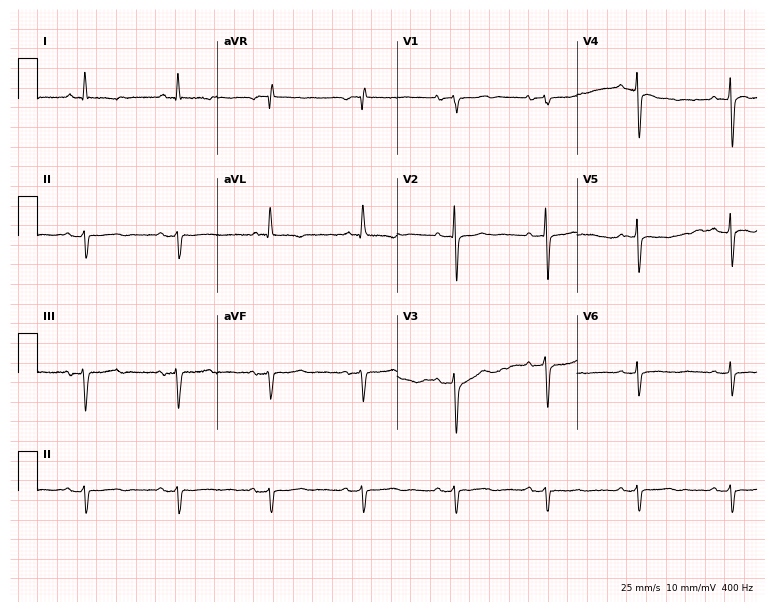
ECG (7.3-second recording at 400 Hz) — a female, 81 years old. Screened for six findings — first-degree AV block, right bundle branch block, left bundle branch block, sinus bradycardia, atrial fibrillation, sinus tachycardia — none is recorded.